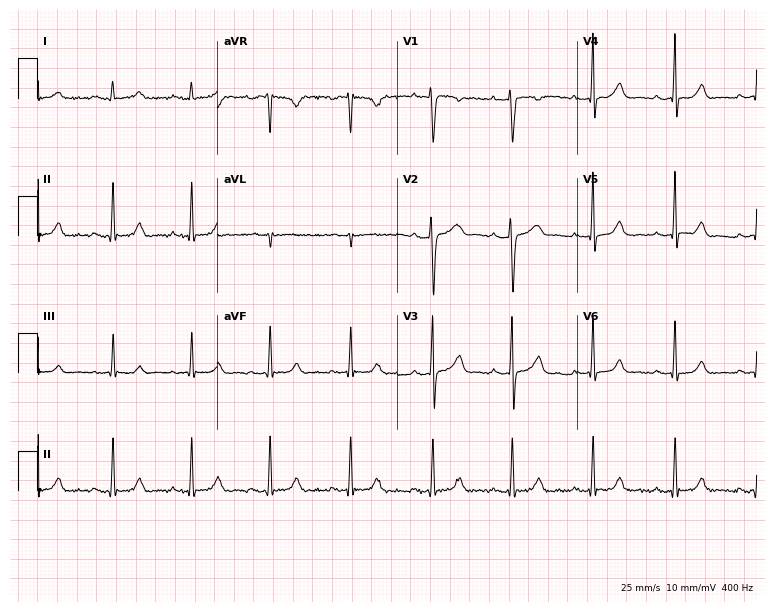
ECG — a woman, 38 years old. Screened for six findings — first-degree AV block, right bundle branch block (RBBB), left bundle branch block (LBBB), sinus bradycardia, atrial fibrillation (AF), sinus tachycardia — none is recorded. Findings outside these six are not listed.